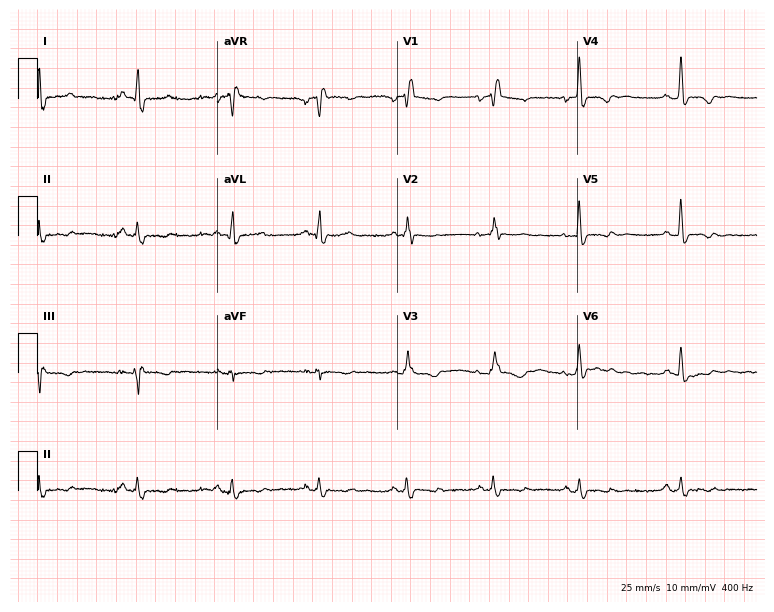
12-lead ECG from a female patient, 55 years old (7.3-second recording at 400 Hz). No first-degree AV block, right bundle branch block (RBBB), left bundle branch block (LBBB), sinus bradycardia, atrial fibrillation (AF) or sinus tachycardia recorded for this tracing. Other findings, if any, are not listed.